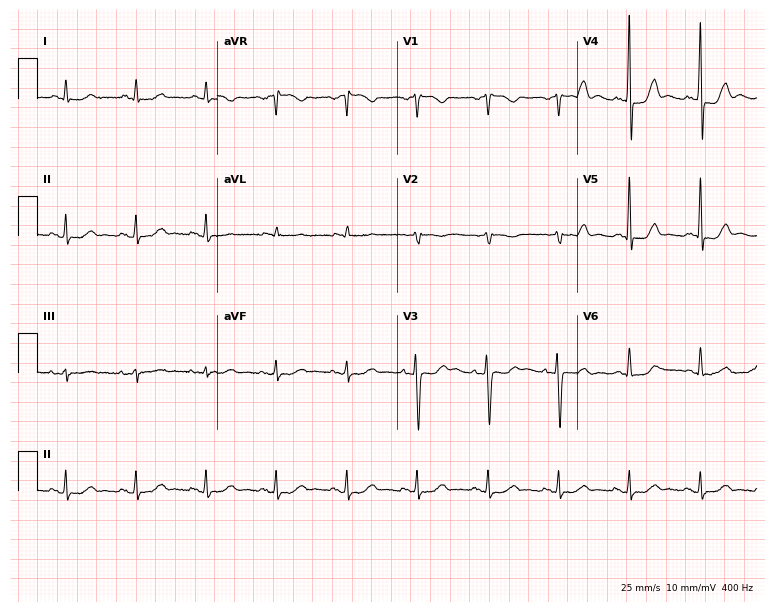
Resting 12-lead electrocardiogram. Patient: an 85-year-old woman. None of these six findings is recorded: first-degree AV block, right bundle branch block, left bundle branch block, sinus bradycardia, atrial fibrillation, sinus tachycardia.